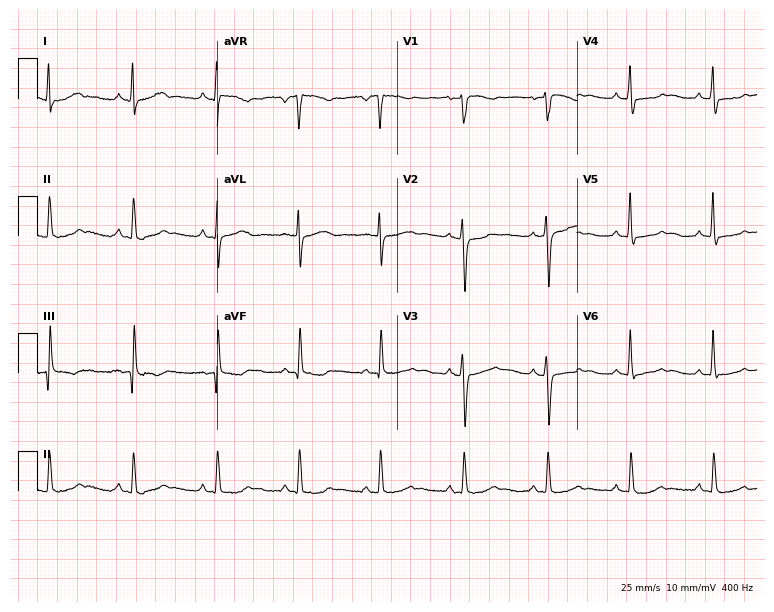
Standard 12-lead ECG recorded from a female patient, 39 years old. None of these six findings is recorded: first-degree AV block, right bundle branch block (RBBB), left bundle branch block (LBBB), sinus bradycardia, atrial fibrillation (AF), sinus tachycardia.